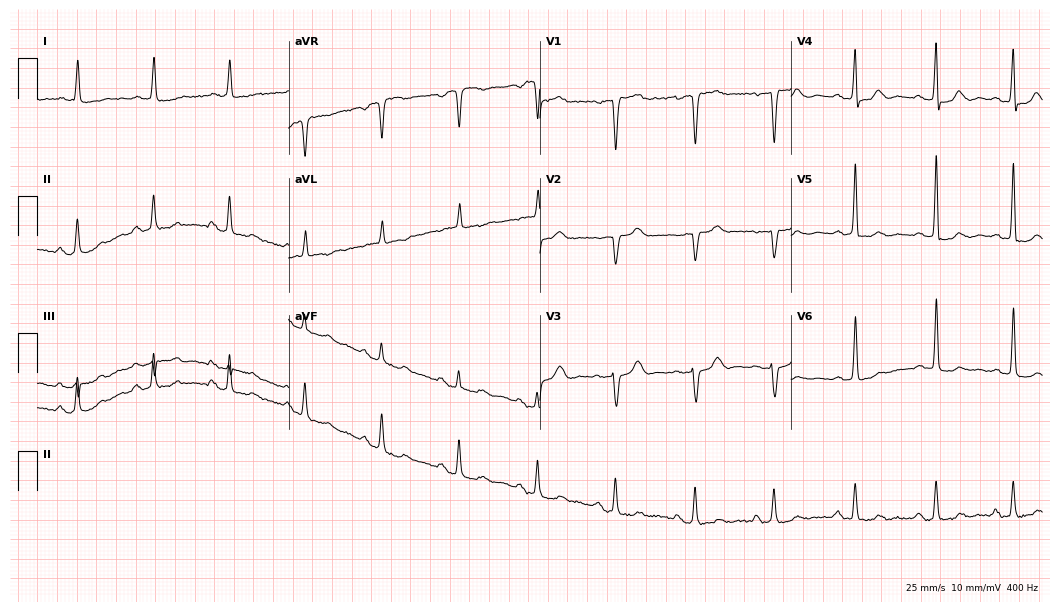
Standard 12-lead ECG recorded from a woman, 82 years old. None of these six findings is recorded: first-degree AV block, right bundle branch block, left bundle branch block, sinus bradycardia, atrial fibrillation, sinus tachycardia. Findings outside these six are not listed.